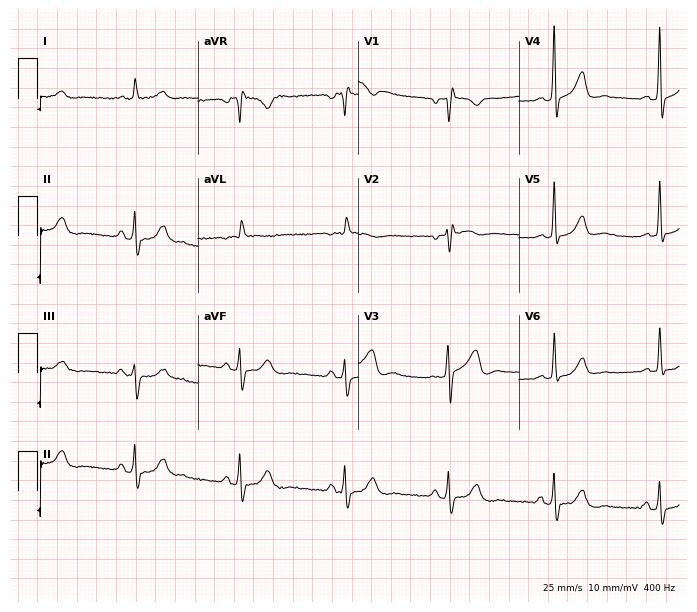
ECG (6.5-second recording at 400 Hz) — a 68-year-old man. Screened for six findings — first-degree AV block, right bundle branch block (RBBB), left bundle branch block (LBBB), sinus bradycardia, atrial fibrillation (AF), sinus tachycardia — none is recorded.